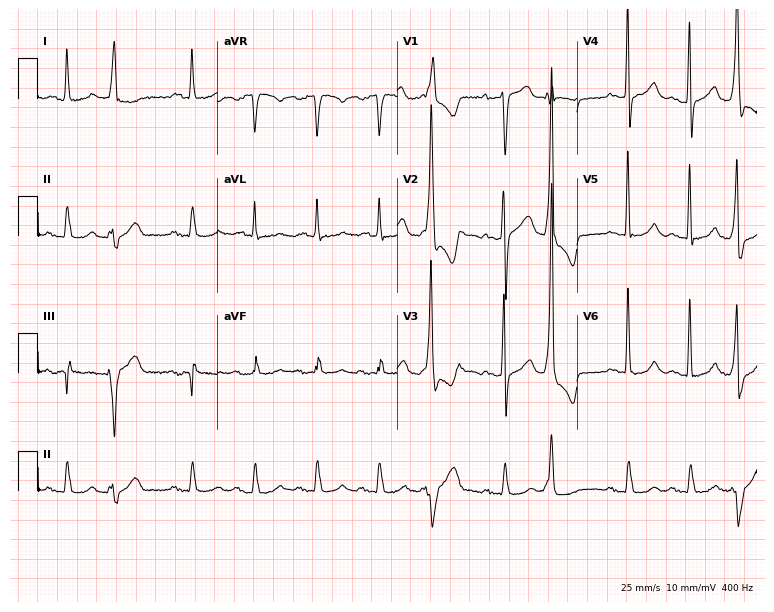
12-lead ECG (7.3-second recording at 400 Hz) from a 72-year-old male patient. Screened for six findings — first-degree AV block, right bundle branch block (RBBB), left bundle branch block (LBBB), sinus bradycardia, atrial fibrillation (AF), sinus tachycardia — none is recorded.